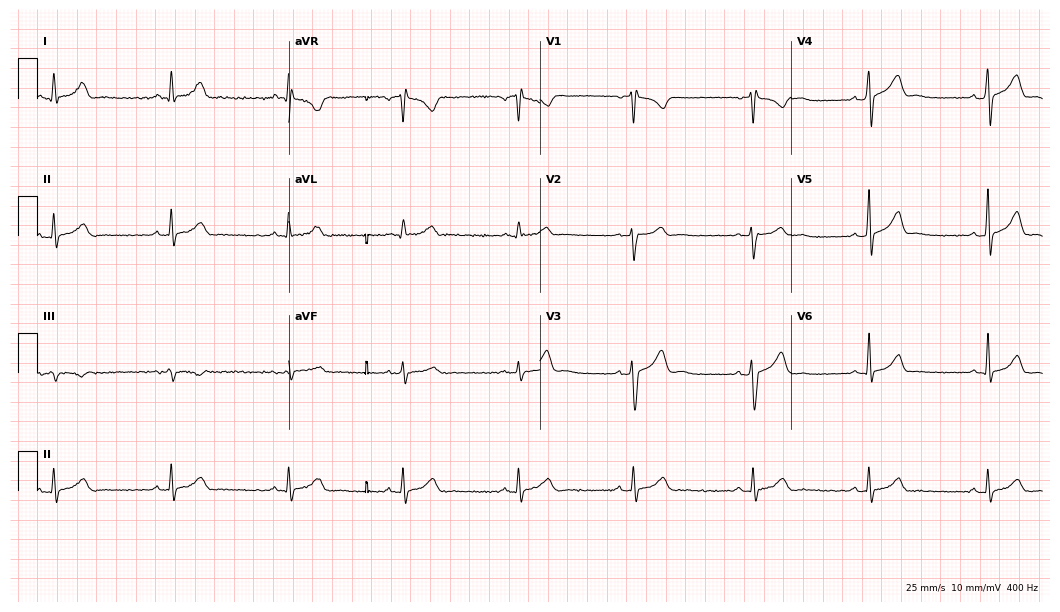
Electrocardiogram, a 39-year-old male patient. Overall reading on record: normal ECG.